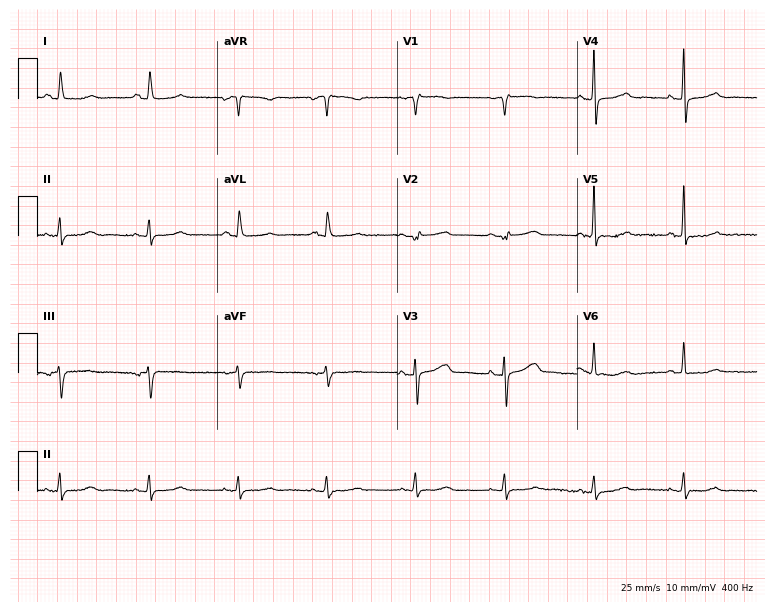
Resting 12-lead electrocardiogram (7.3-second recording at 400 Hz). Patient: an 83-year-old female. None of these six findings is recorded: first-degree AV block, right bundle branch block, left bundle branch block, sinus bradycardia, atrial fibrillation, sinus tachycardia.